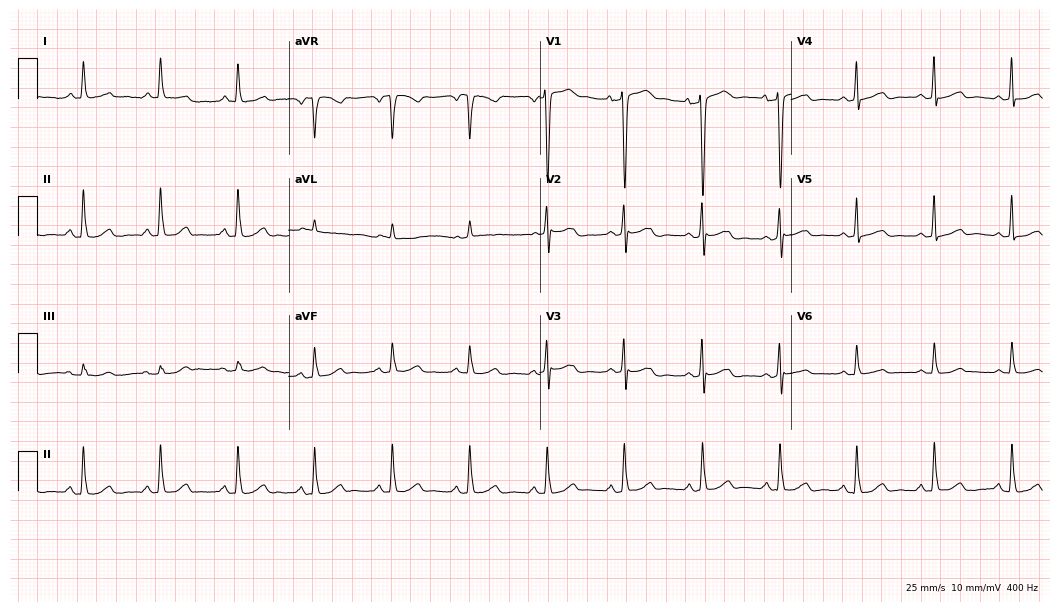
Electrocardiogram (10.2-second recording at 400 Hz), a female, 77 years old. Overall reading on record: normal ECG.